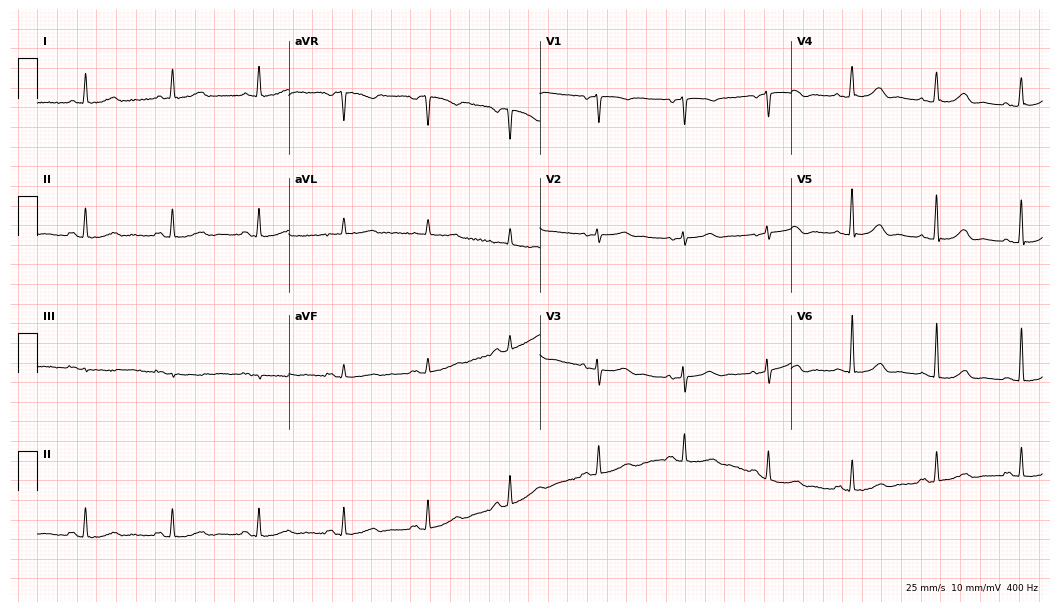
12-lead ECG (10.2-second recording at 400 Hz) from a 71-year-old female patient. Screened for six findings — first-degree AV block, right bundle branch block, left bundle branch block, sinus bradycardia, atrial fibrillation, sinus tachycardia — none is recorded.